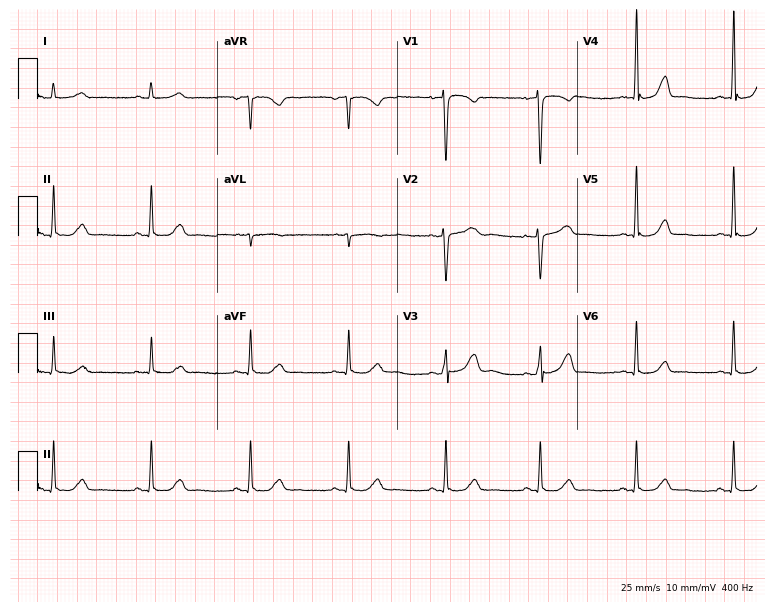
12-lead ECG from a 52-year-old female patient (7.3-second recording at 400 Hz). Recorded interpretation: within normal limits.